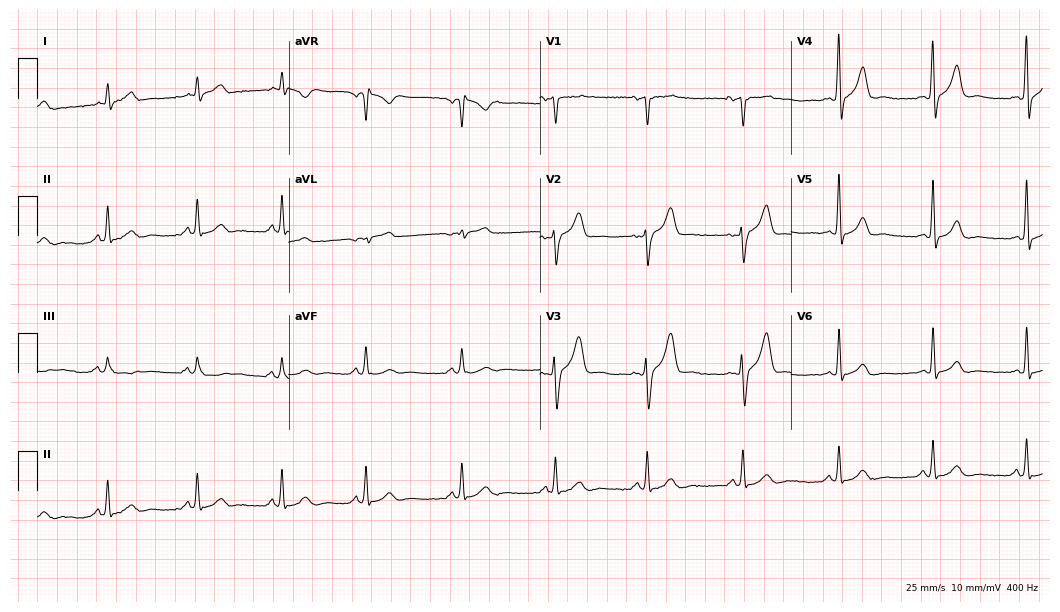
12-lead ECG from a male, 36 years old. Labelled as a normal ECG.